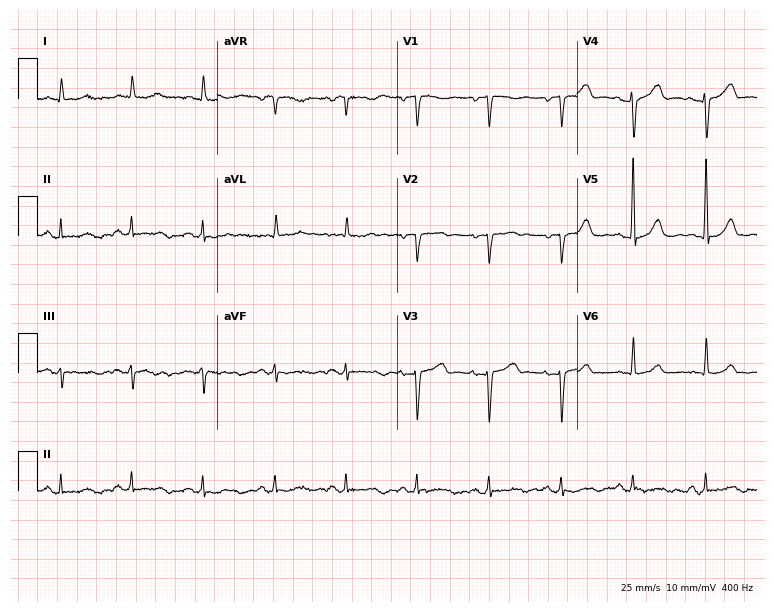
ECG — a woman, 72 years old. Screened for six findings — first-degree AV block, right bundle branch block, left bundle branch block, sinus bradycardia, atrial fibrillation, sinus tachycardia — none is recorded. Other findings, if any, are not listed.